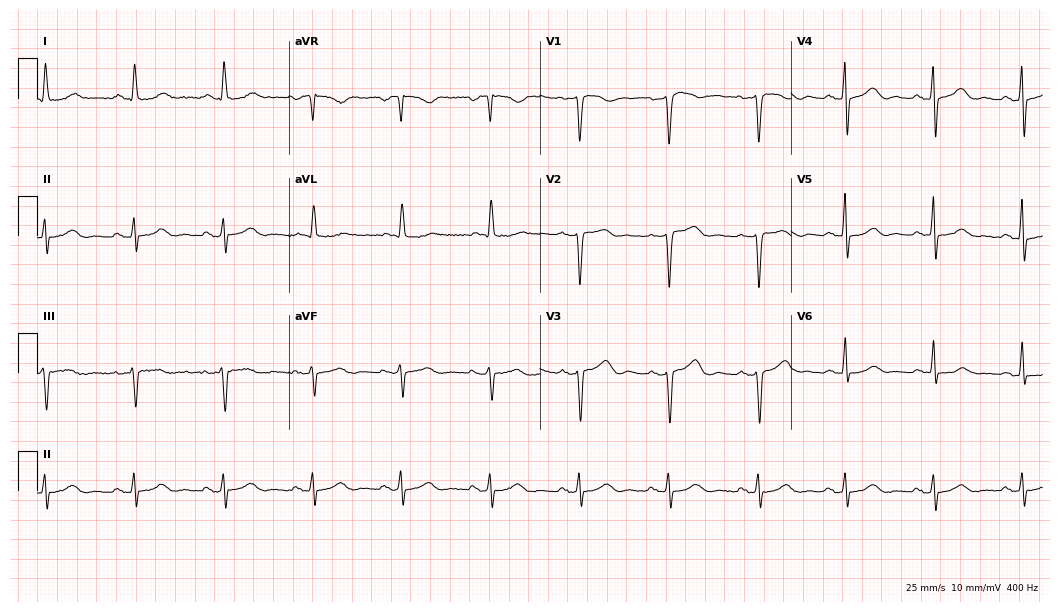
Standard 12-lead ECG recorded from a female patient, 49 years old (10.2-second recording at 400 Hz). Read as a normal ECG.